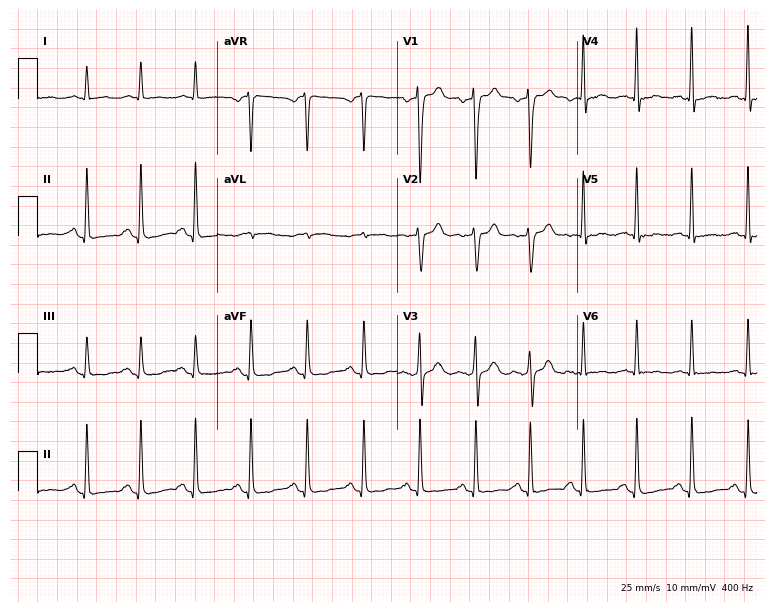
12-lead ECG from a man, 27 years old (7.3-second recording at 400 Hz). Shows sinus tachycardia (a sinus rate of 100 beats per minute or more).